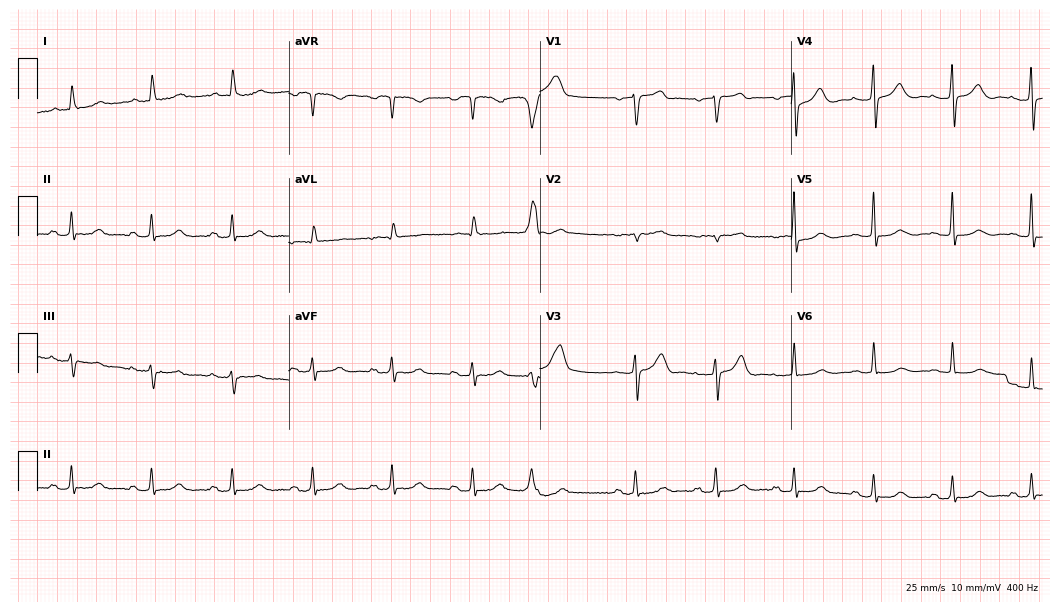
ECG — an 83-year-old woman. Screened for six findings — first-degree AV block, right bundle branch block (RBBB), left bundle branch block (LBBB), sinus bradycardia, atrial fibrillation (AF), sinus tachycardia — none is recorded. Other findings, if any, are not listed.